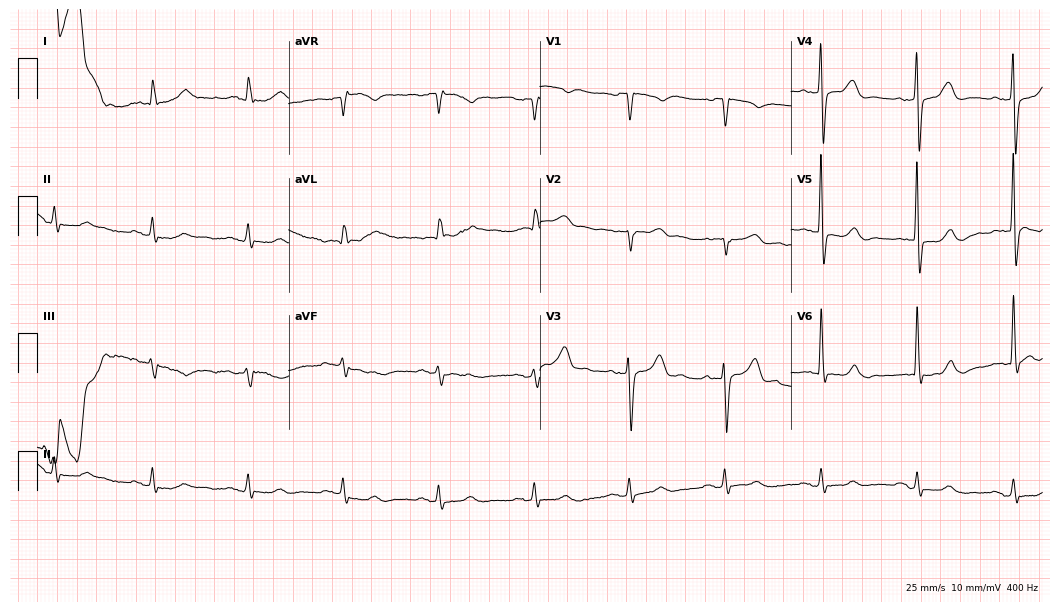
Standard 12-lead ECG recorded from a man, 84 years old (10.2-second recording at 400 Hz). Read as a normal ECG.